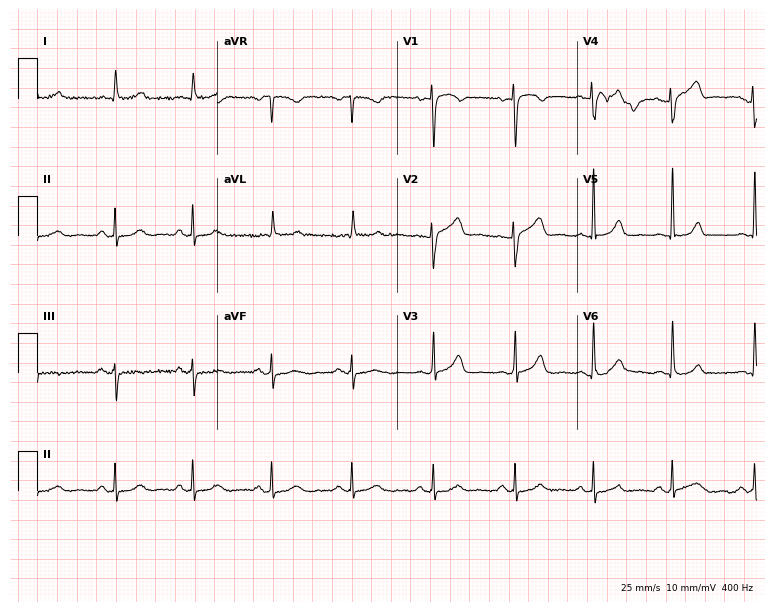
12-lead ECG from a 69-year-old female patient. No first-degree AV block, right bundle branch block, left bundle branch block, sinus bradycardia, atrial fibrillation or sinus tachycardia recorded for this tracing. Only these six findings were labelled.